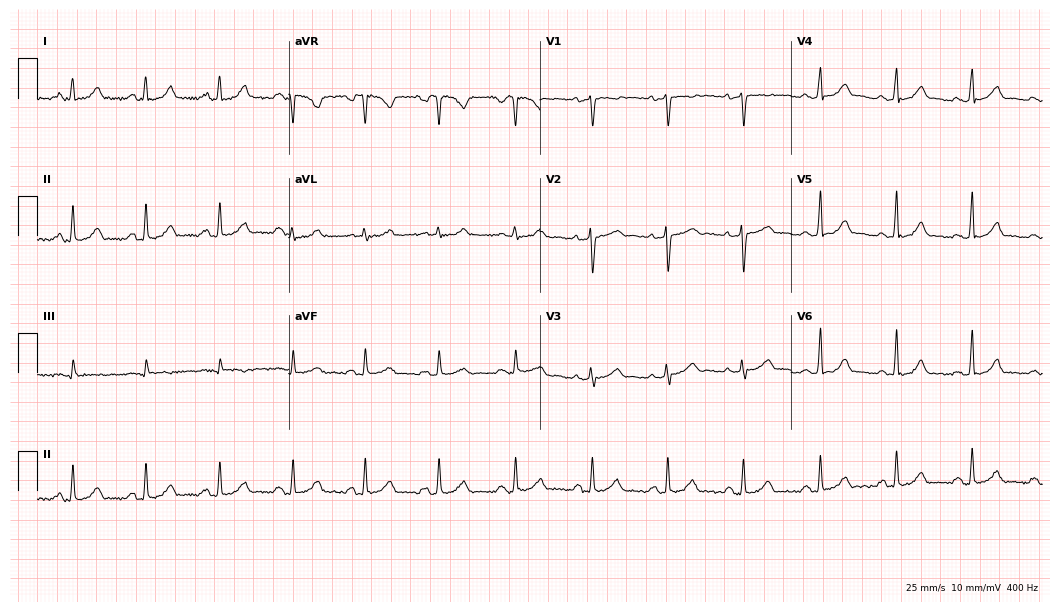
Standard 12-lead ECG recorded from a 32-year-old female patient (10.2-second recording at 400 Hz). None of these six findings is recorded: first-degree AV block, right bundle branch block, left bundle branch block, sinus bradycardia, atrial fibrillation, sinus tachycardia.